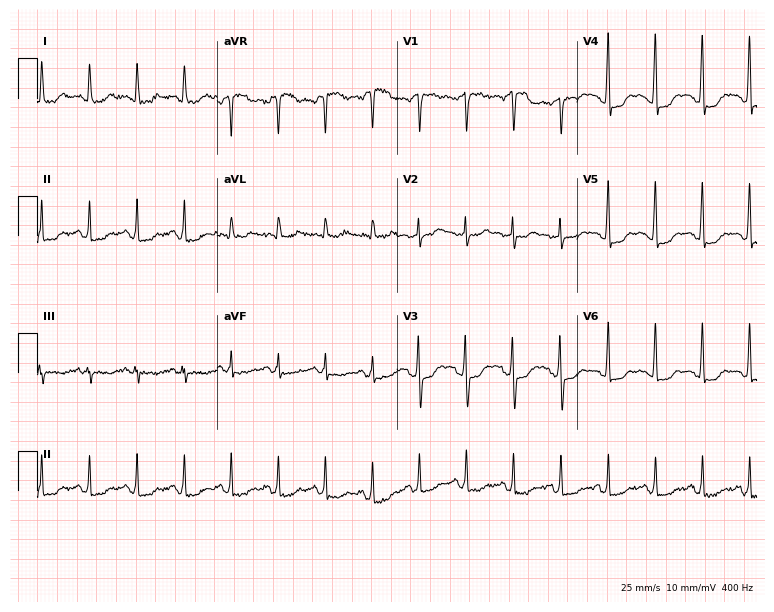
12-lead ECG from a 31-year-old woman (7.3-second recording at 400 Hz). No first-degree AV block, right bundle branch block, left bundle branch block, sinus bradycardia, atrial fibrillation or sinus tachycardia recorded for this tracing.